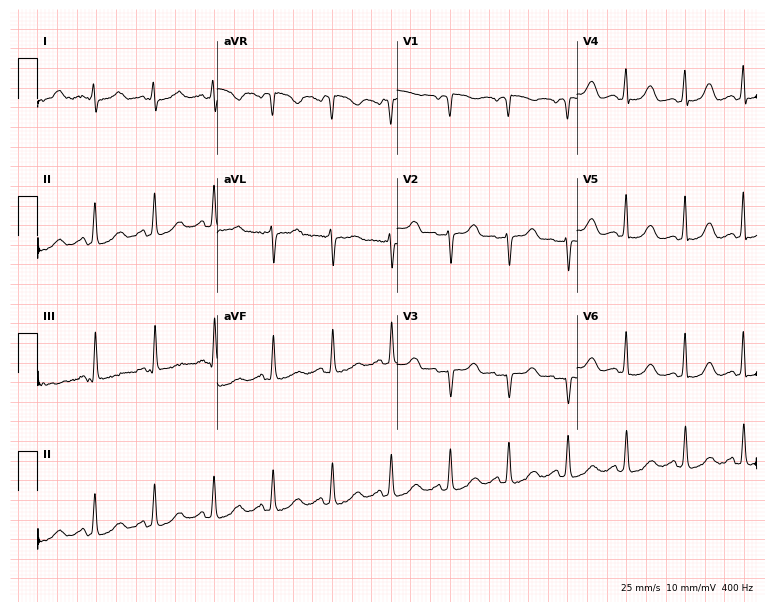
Resting 12-lead electrocardiogram. Patient: a female, 37 years old. None of these six findings is recorded: first-degree AV block, right bundle branch block, left bundle branch block, sinus bradycardia, atrial fibrillation, sinus tachycardia. Findings outside these six are not listed.